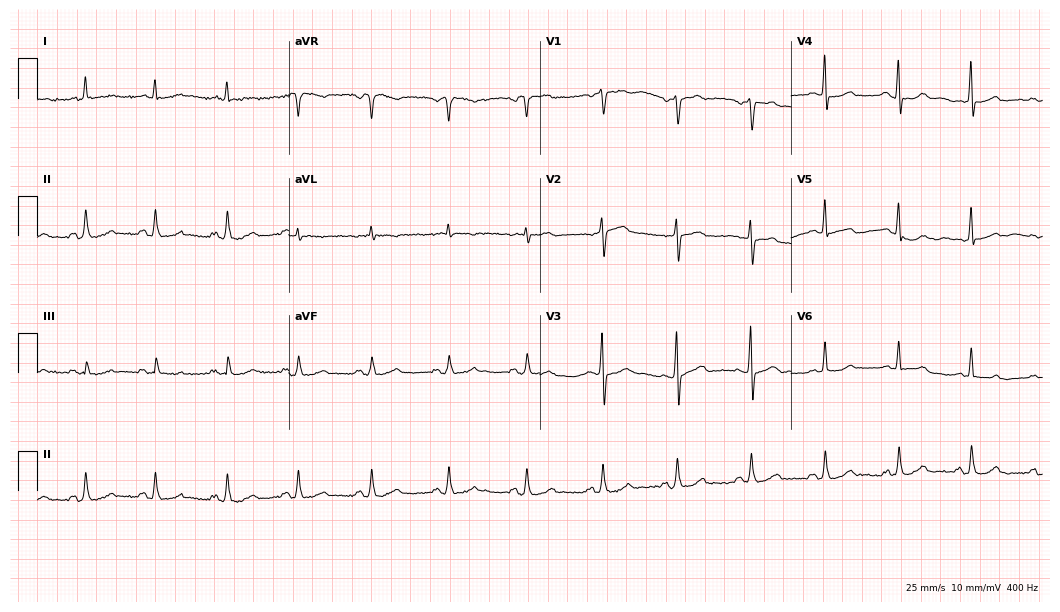
12-lead ECG from a man, 58 years old (10.2-second recording at 400 Hz). No first-degree AV block, right bundle branch block, left bundle branch block, sinus bradycardia, atrial fibrillation or sinus tachycardia recorded for this tracing.